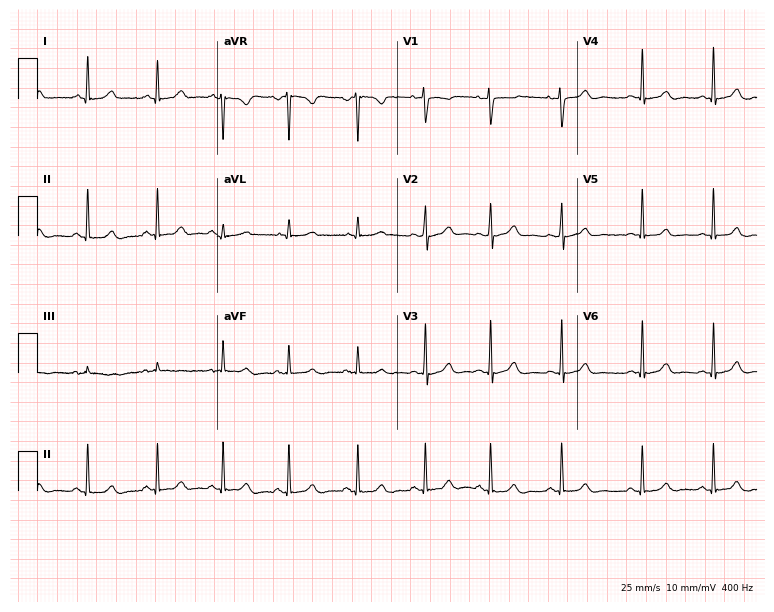
Standard 12-lead ECG recorded from a female, 38 years old. None of these six findings is recorded: first-degree AV block, right bundle branch block, left bundle branch block, sinus bradycardia, atrial fibrillation, sinus tachycardia. Findings outside these six are not listed.